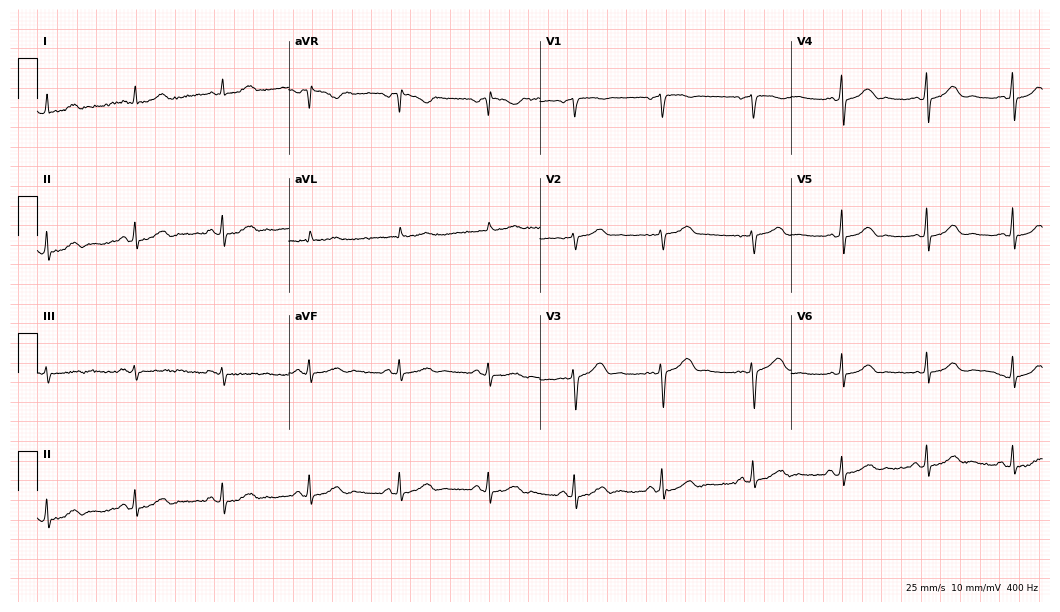
Resting 12-lead electrocardiogram (10.2-second recording at 400 Hz). Patient: a 37-year-old female. Read as a normal ECG.